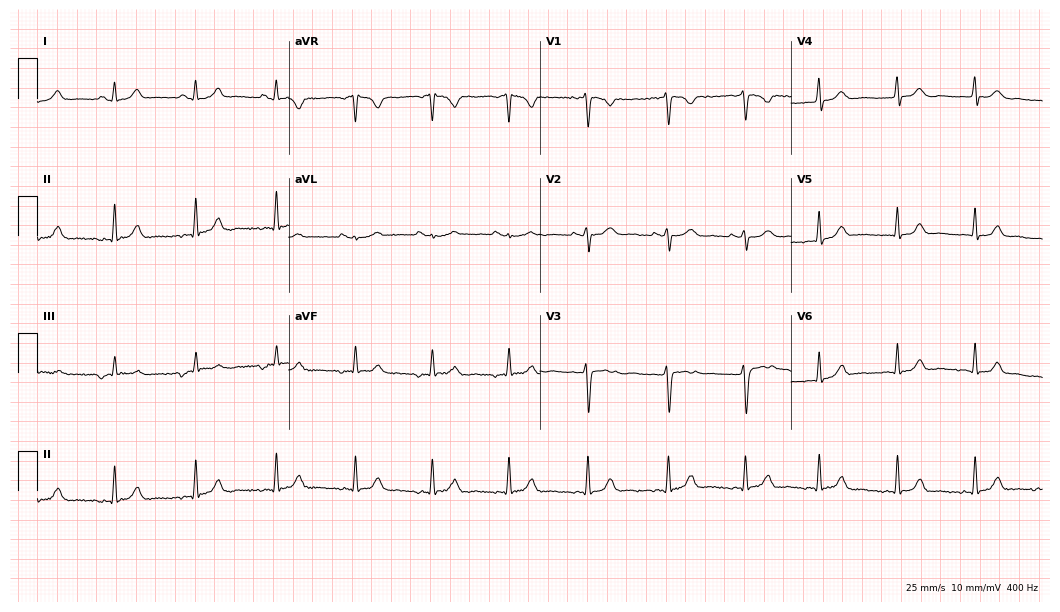
Standard 12-lead ECG recorded from a 25-year-old female patient. Read as a normal ECG.